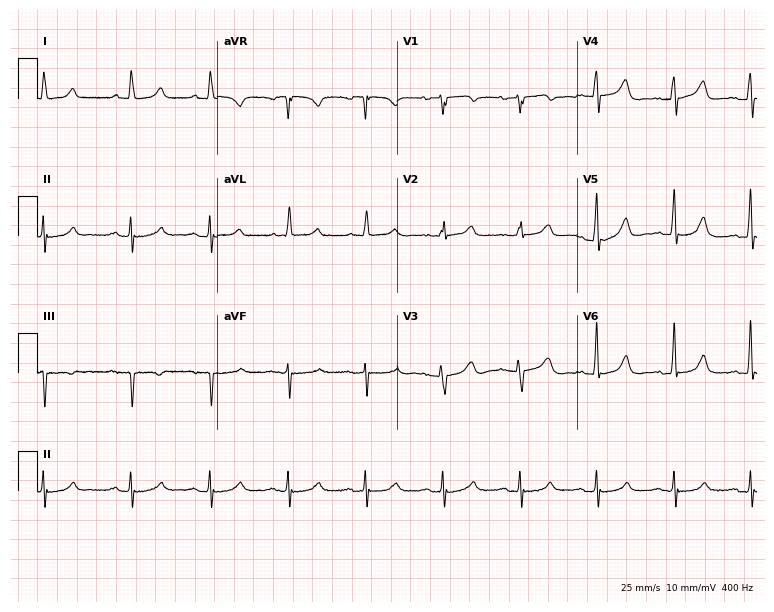
12-lead ECG from a woman, 89 years old. No first-degree AV block, right bundle branch block, left bundle branch block, sinus bradycardia, atrial fibrillation or sinus tachycardia recorded for this tracing. Findings outside these six are not listed.